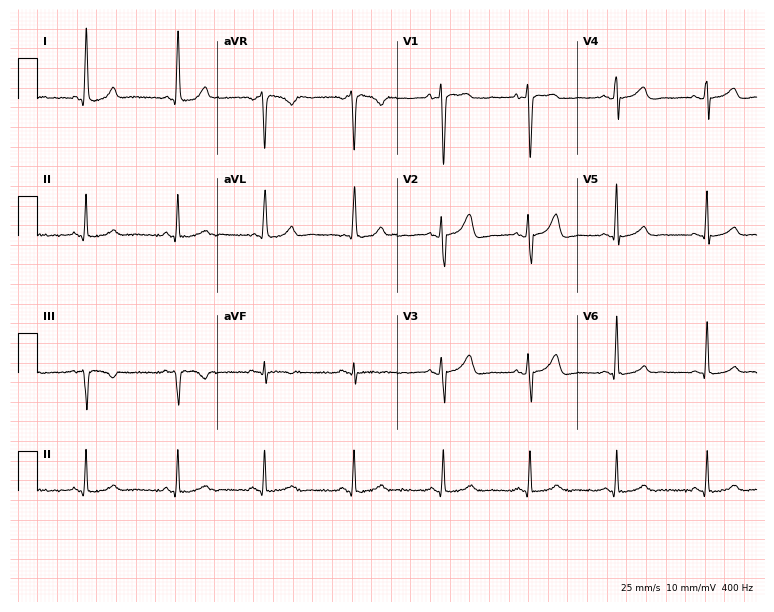
Resting 12-lead electrocardiogram (7.3-second recording at 400 Hz). Patient: a 43-year-old woman. Read as a normal ECG.